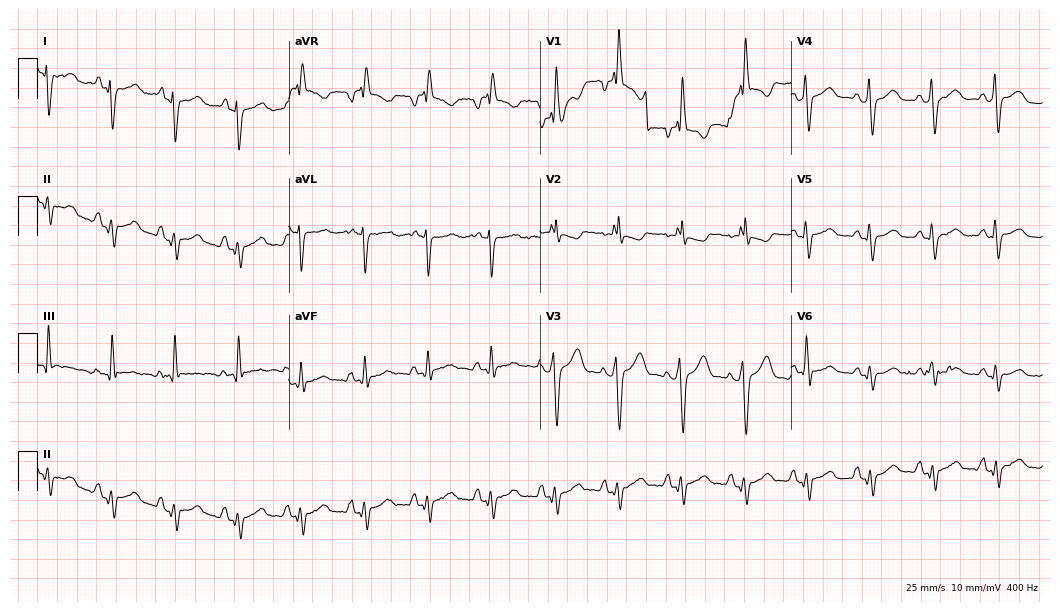
Standard 12-lead ECG recorded from a 73-year-old female patient. The tracing shows right bundle branch block.